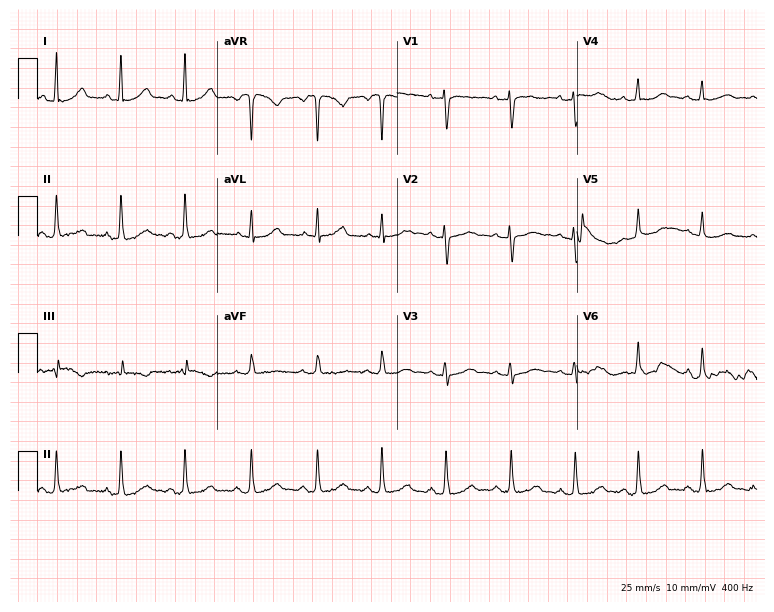
Resting 12-lead electrocardiogram. Patient: a female, 41 years old. Read as a normal ECG.